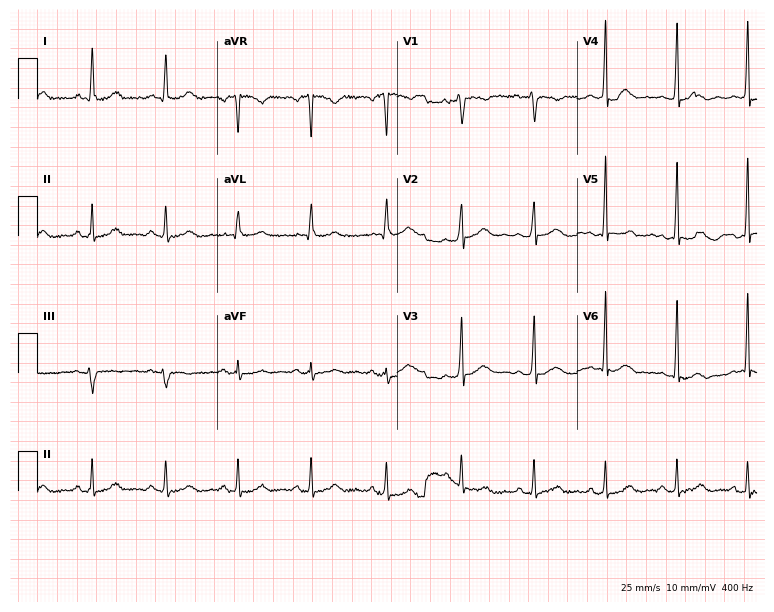
Resting 12-lead electrocardiogram (7.3-second recording at 400 Hz). Patient: a woman, 40 years old. None of these six findings is recorded: first-degree AV block, right bundle branch block, left bundle branch block, sinus bradycardia, atrial fibrillation, sinus tachycardia. Findings outside these six are not listed.